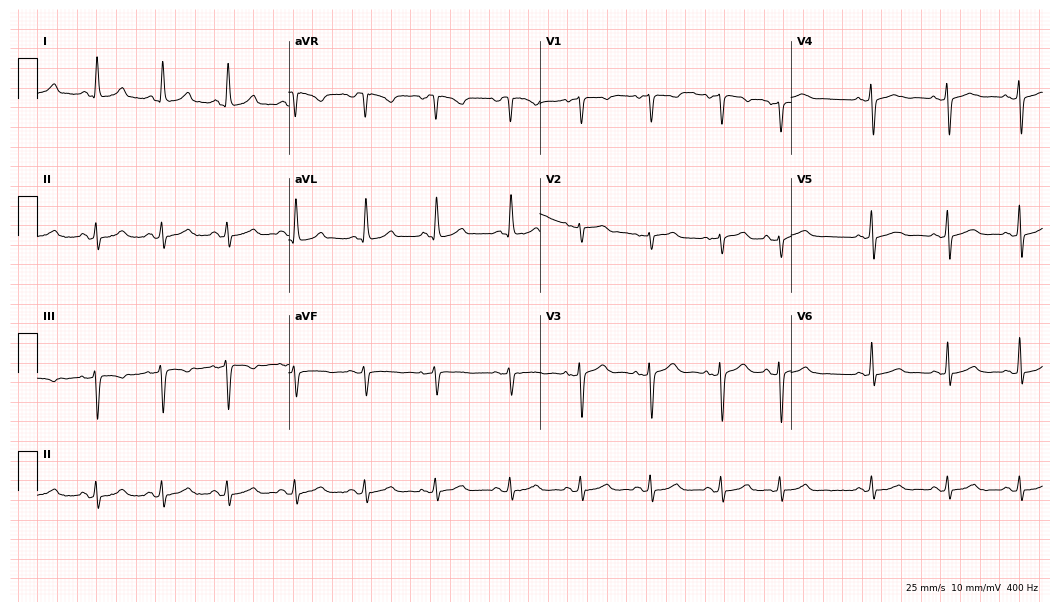
Standard 12-lead ECG recorded from a 44-year-old woman. Read as a normal ECG.